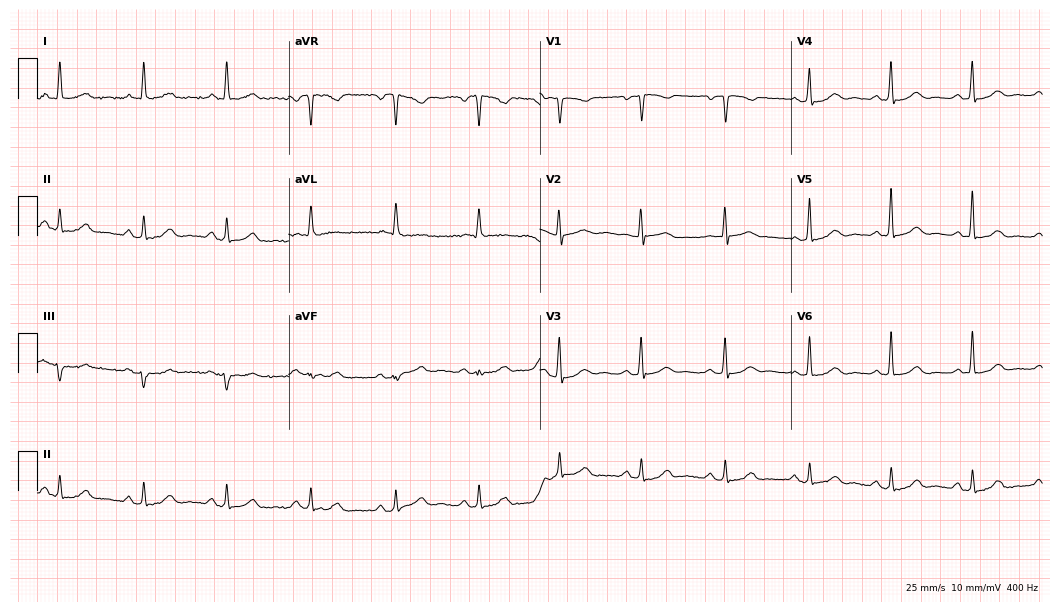
Resting 12-lead electrocardiogram (10.2-second recording at 400 Hz). Patient: a female, 69 years old. Read as a normal ECG.